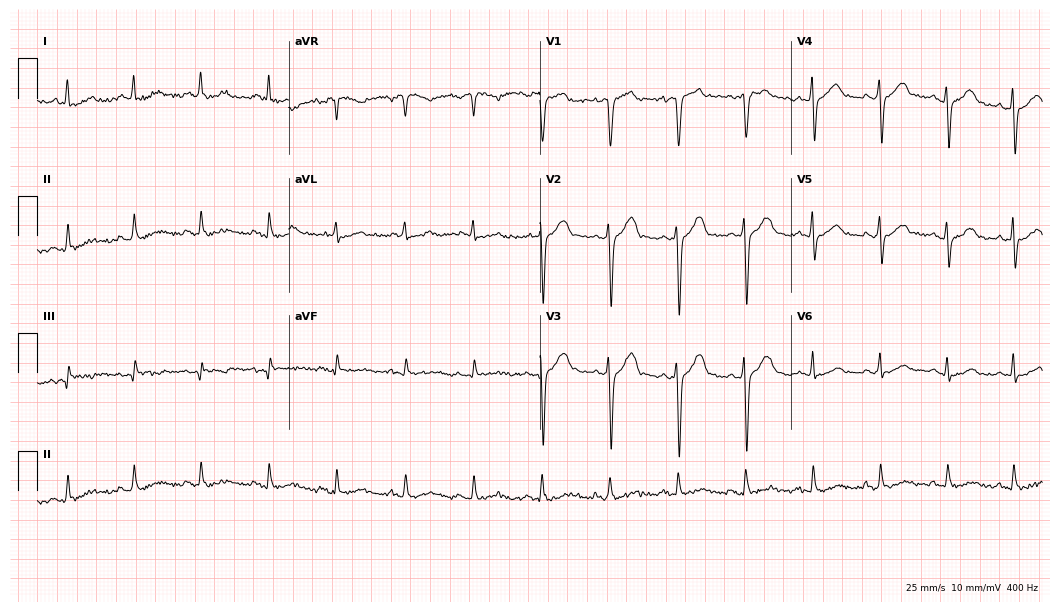
12-lead ECG from a male patient, 51 years old. Labelled as a normal ECG.